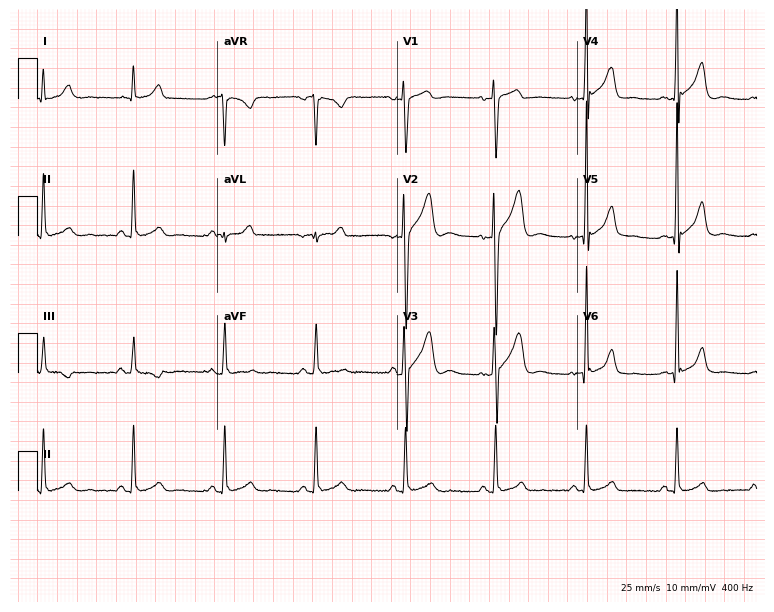
12-lead ECG from a male patient, 27 years old. Screened for six findings — first-degree AV block, right bundle branch block, left bundle branch block, sinus bradycardia, atrial fibrillation, sinus tachycardia — none is recorded. Other findings, if any, are not listed.